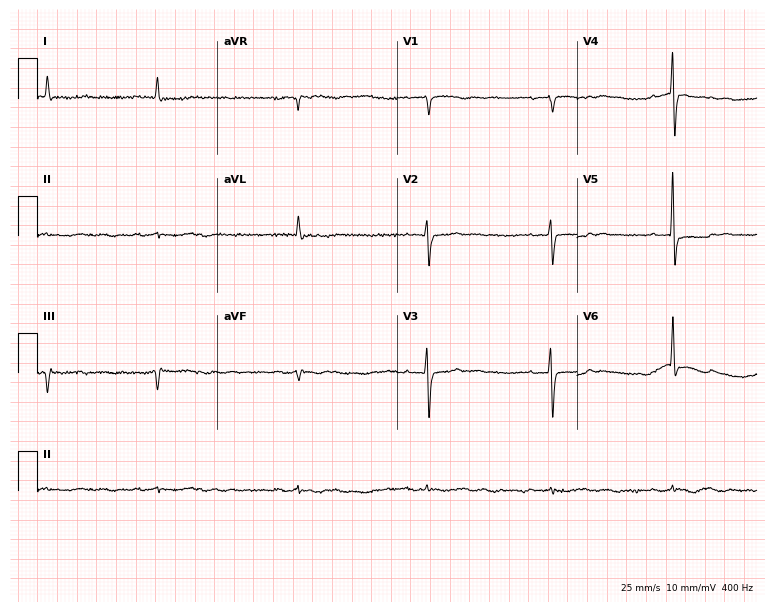
Electrocardiogram, an 85-year-old female. Of the six screened findings (first-degree AV block, right bundle branch block, left bundle branch block, sinus bradycardia, atrial fibrillation, sinus tachycardia), none is recorded.